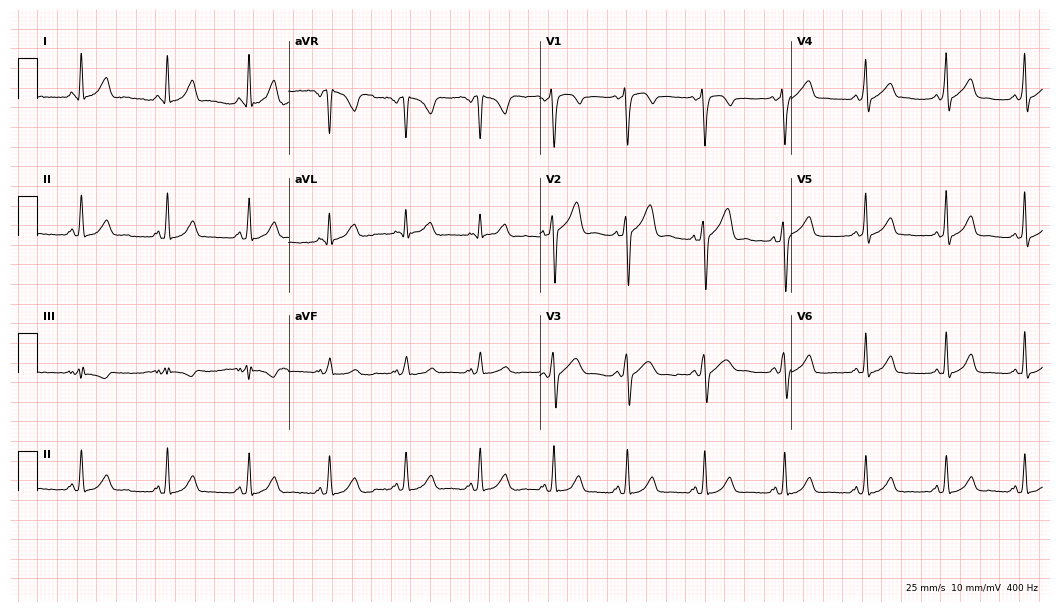
Resting 12-lead electrocardiogram (10.2-second recording at 400 Hz). Patient: a 32-year-old man. Read as a normal ECG.